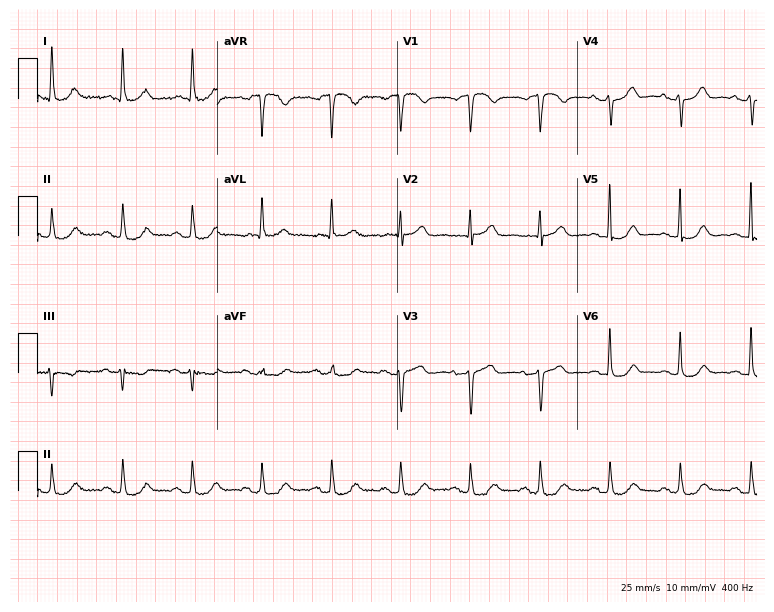
Standard 12-lead ECG recorded from an 84-year-old female patient (7.3-second recording at 400 Hz). Read as a normal ECG.